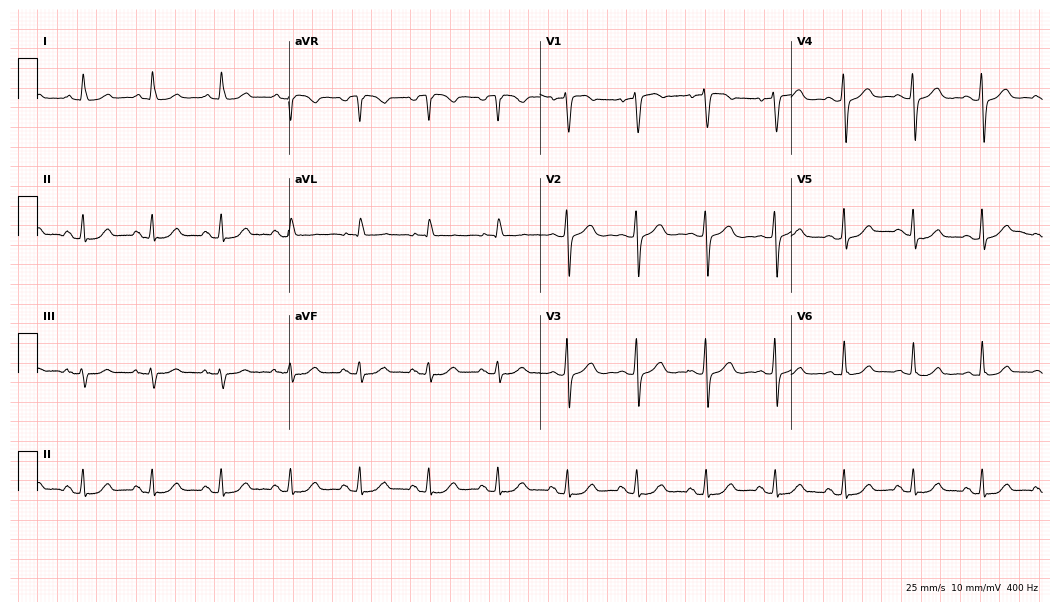
12-lead ECG from a 70-year-old woman (10.2-second recording at 400 Hz). No first-degree AV block, right bundle branch block (RBBB), left bundle branch block (LBBB), sinus bradycardia, atrial fibrillation (AF) or sinus tachycardia recorded for this tracing. Other findings, if any, are not listed.